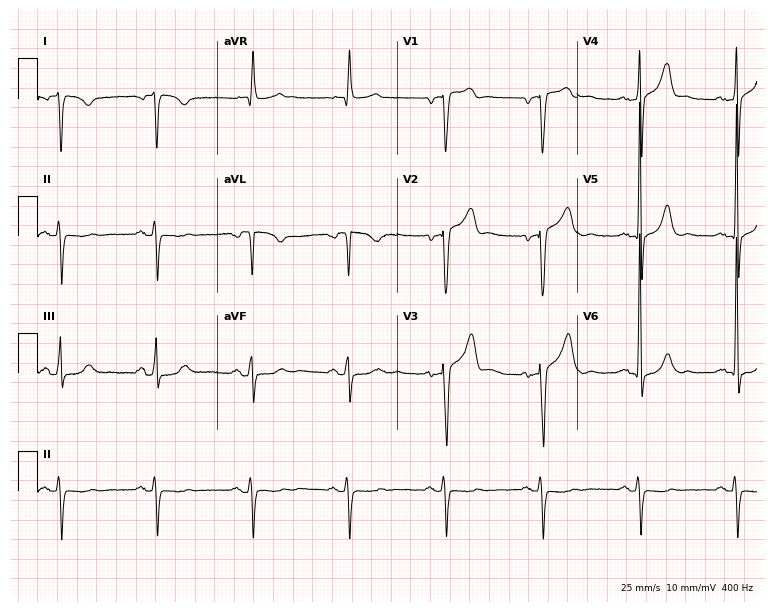
Electrocardiogram, a 79-year-old male patient. Of the six screened findings (first-degree AV block, right bundle branch block, left bundle branch block, sinus bradycardia, atrial fibrillation, sinus tachycardia), none is recorded. Only these six findings were labelled.